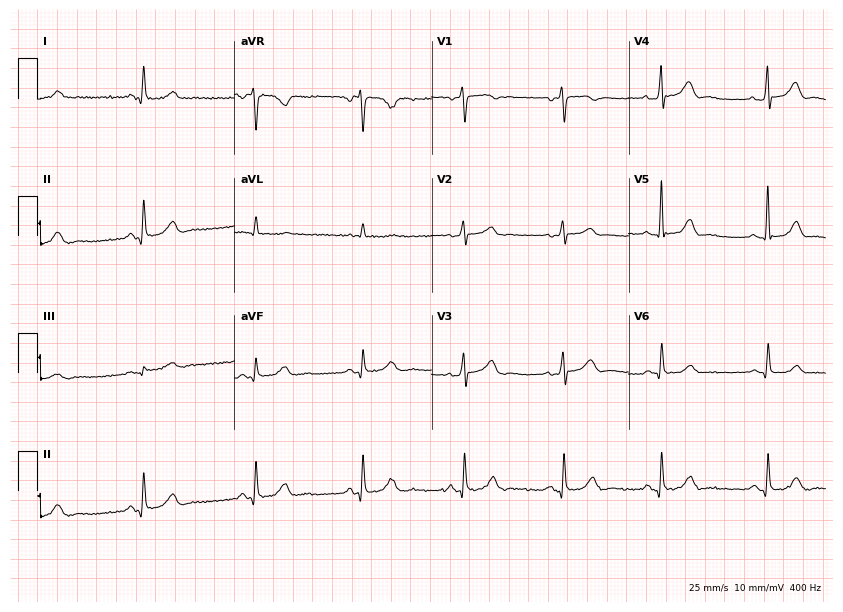
12-lead ECG from a 78-year-old male patient. Screened for six findings — first-degree AV block, right bundle branch block, left bundle branch block, sinus bradycardia, atrial fibrillation, sinus tachycardia — none is recorded.